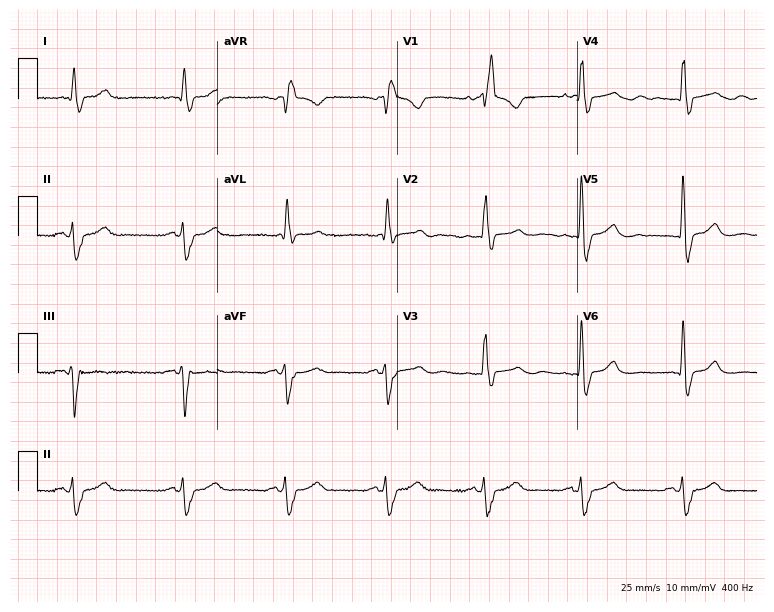
Resting 12-lead electrocardiogram (7.3-second recording at 400 Hz). Patient: a man, 76 years old. The tracing shows right bundle branch block (RBBB).